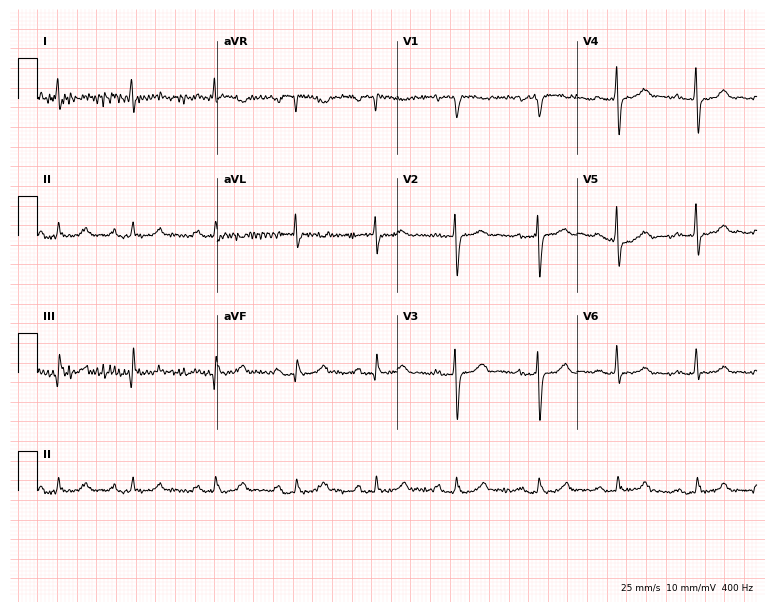
Resting 12-lead electrocardiogram. Patient: a 79-year-old female. None of these six findings is recorded: first-degree AV block, right bundle branch block, left bundle branch block, sinus bradycardia, atrial fibrillation, sinus tachycardia.